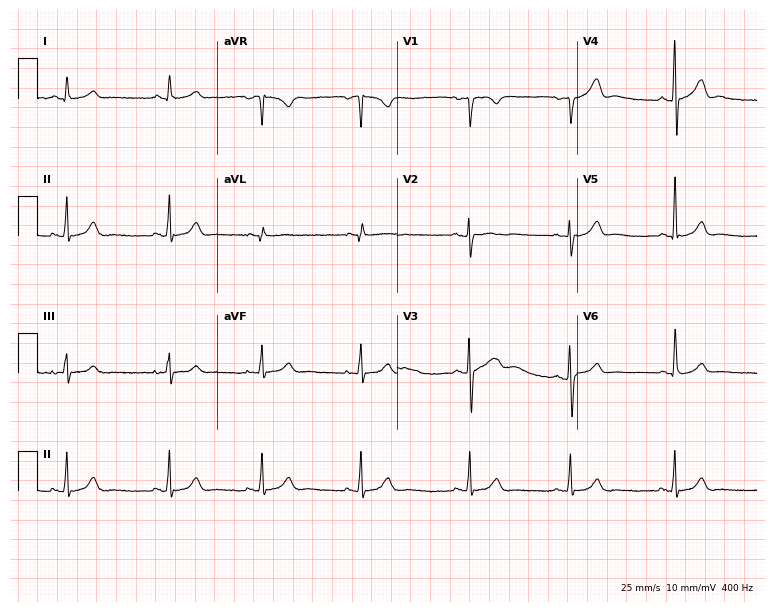
12-lead ECG from a 19-year-old female patient. Screened for six findings — first-degree AV block, right bundle branch block, left bundle branch block, sinus bradycardia, atrial fibrillation, sinus tachycardia — none is recorded.